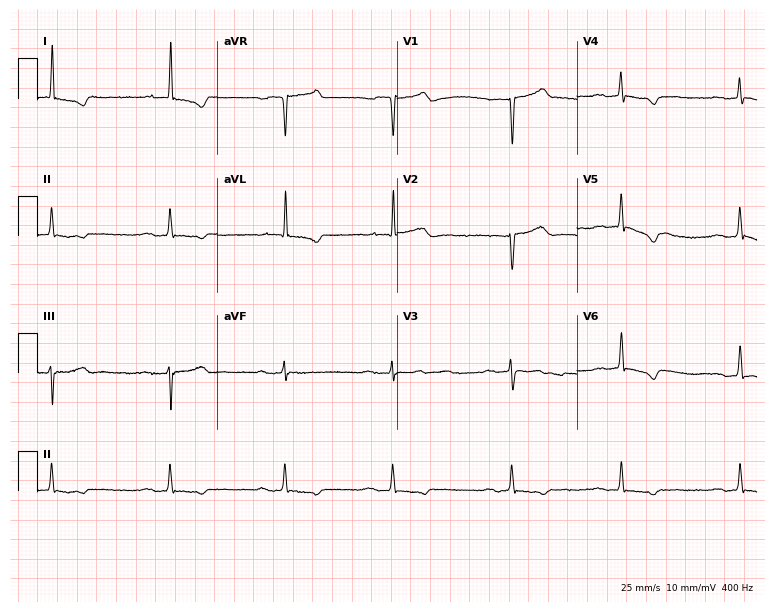
12-lead ECG from a female patient, 75 years old. No first-degree AV block, right bundle branch block, left bundle branch block, sinus bradycardia, atrial fibrillation or sinus tachycardia recorded for this tracing. Findings outside these six are not listed.